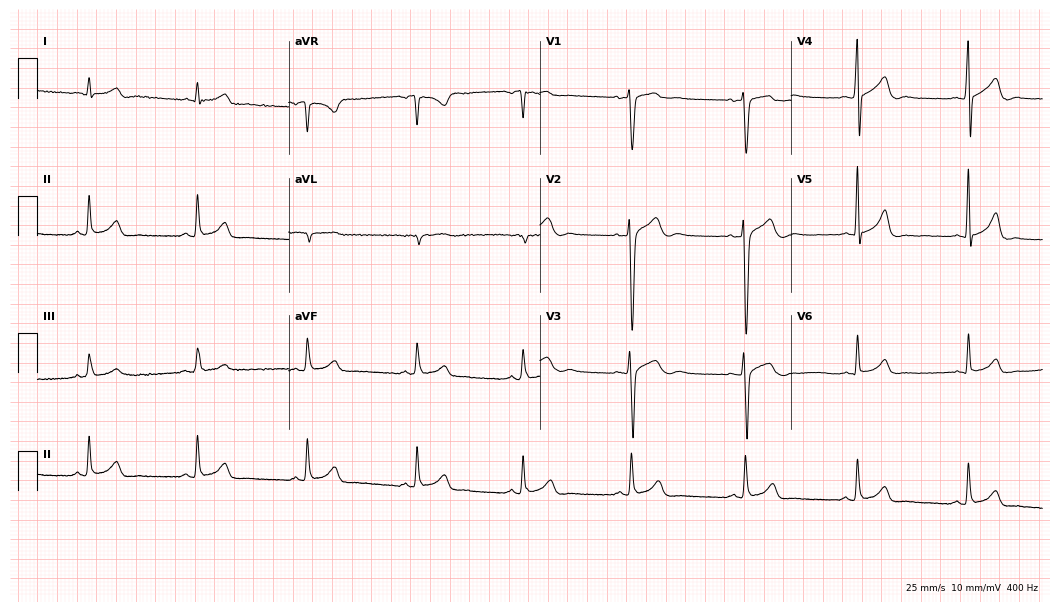
Electrocardiogram (10.2-second recording at 400 Hz), a 37-year-old man. Overall reading on record: normal ECG.